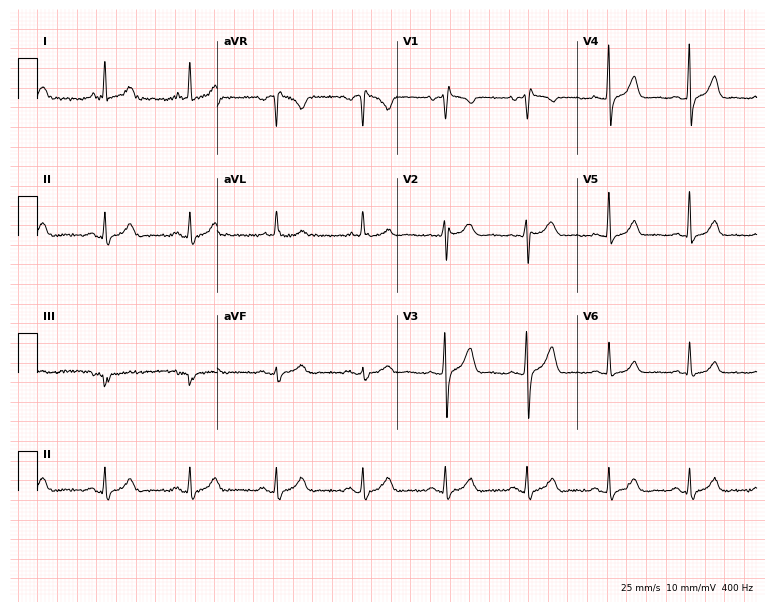
ECG — a female, 44 years old. Screened for six findings — first-degree AV block, right bundle branch block (RBBB), left bundle branch block (LBBB), sinus bradycardia, atrial fibrillation (AF), sinus tachycardia — none is recorded. Findings outside these six are not listed.